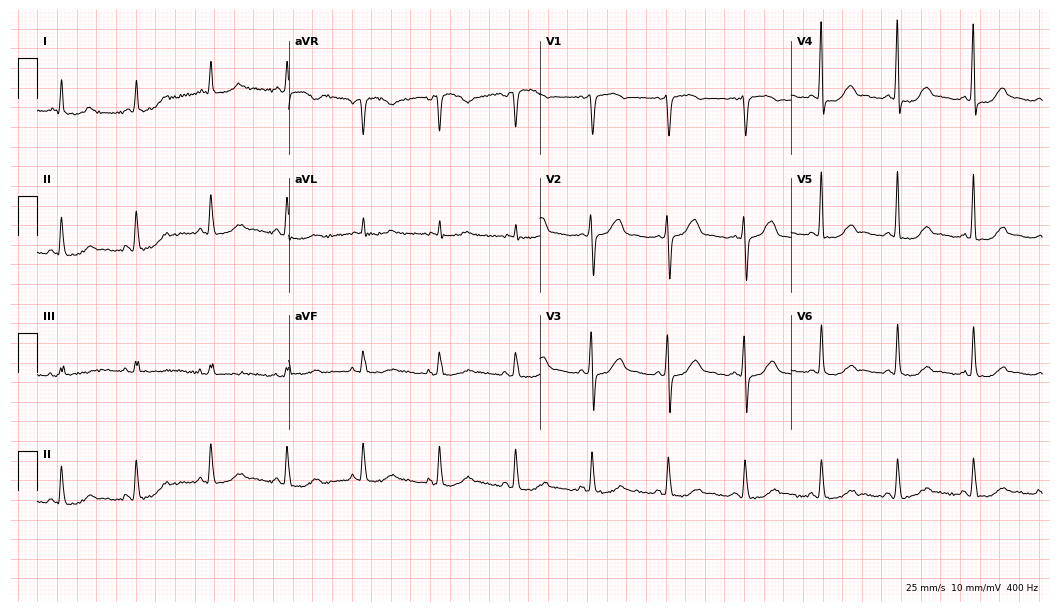
Standard 12-lead ECG recorded from a 69-year-old female patient (10.2-second recording at 400 Hz). Read as a normal ECG.